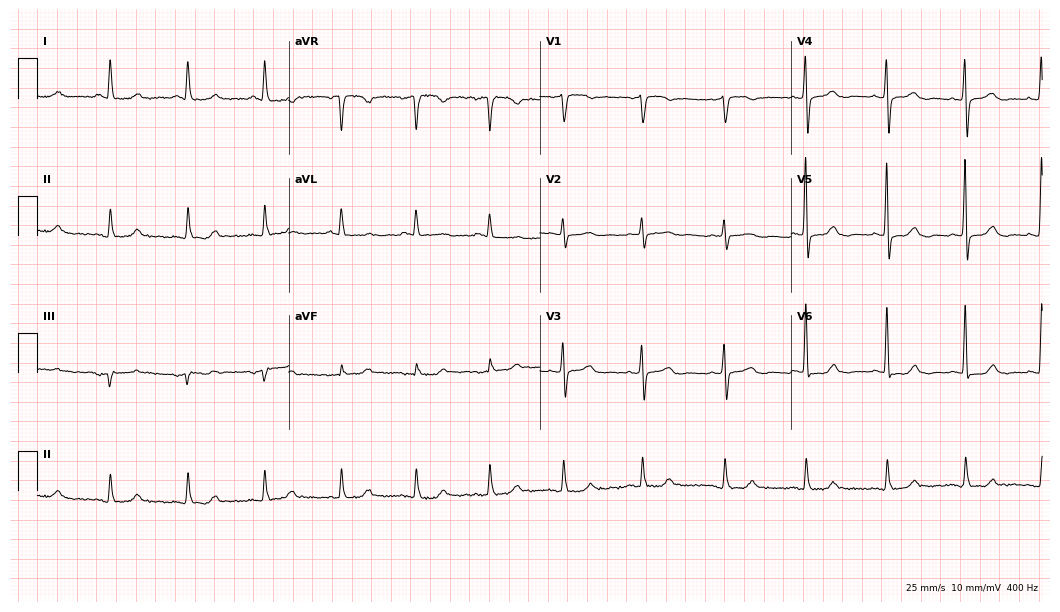
12-lead ECG (10.2-second recording at 400 Hz) from a female patient, 65 years old. Labelled as a normal ECG.